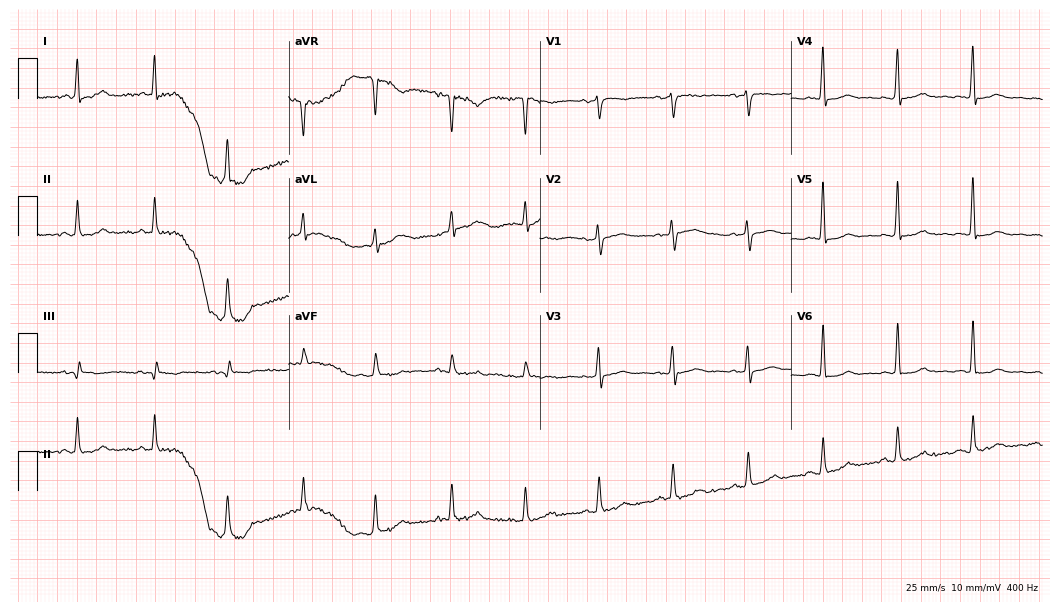
12-lead ECG from a female, 61 years old. Screened for six findings — first-degree AV block, right bundle branch block, left bundle branch block, sinus bradycardia, atrial fibrillation, sinus tachycardia — none is recorded.